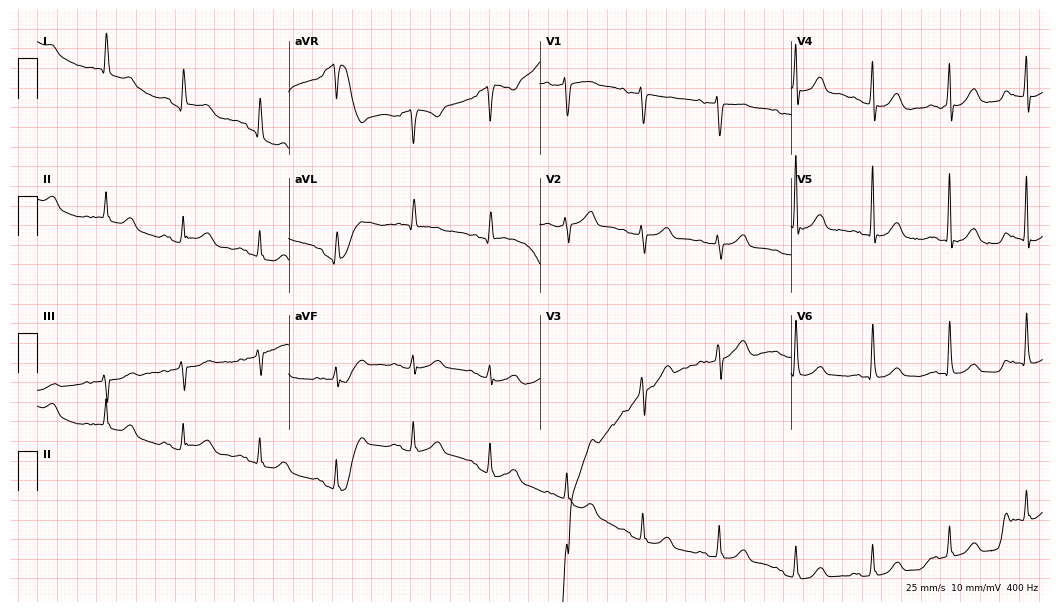
12-lead ECG (10.2-second recording at 400 Hz) from a 76-year-old woman. Findings include first-degree AV block.